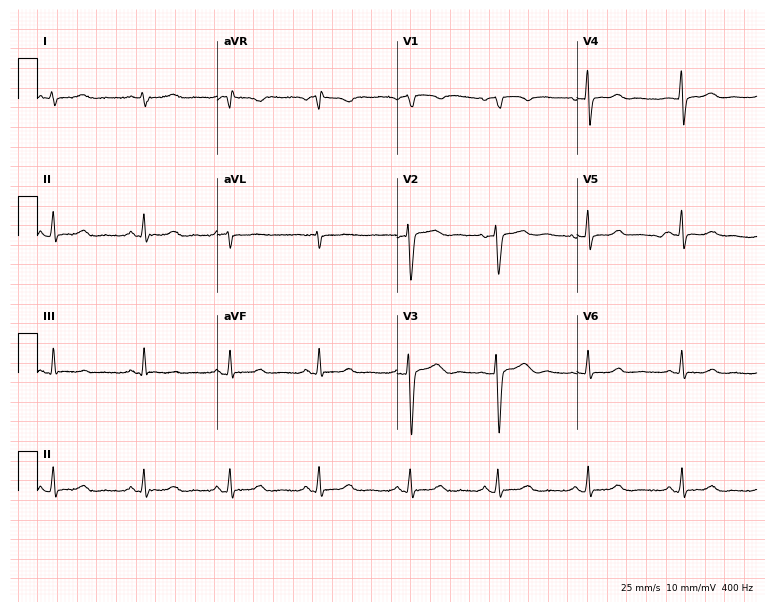
ECG (7.3-second recording at 400 Hz) — a 43-year-old male patient. Labelled as a normal ECG.